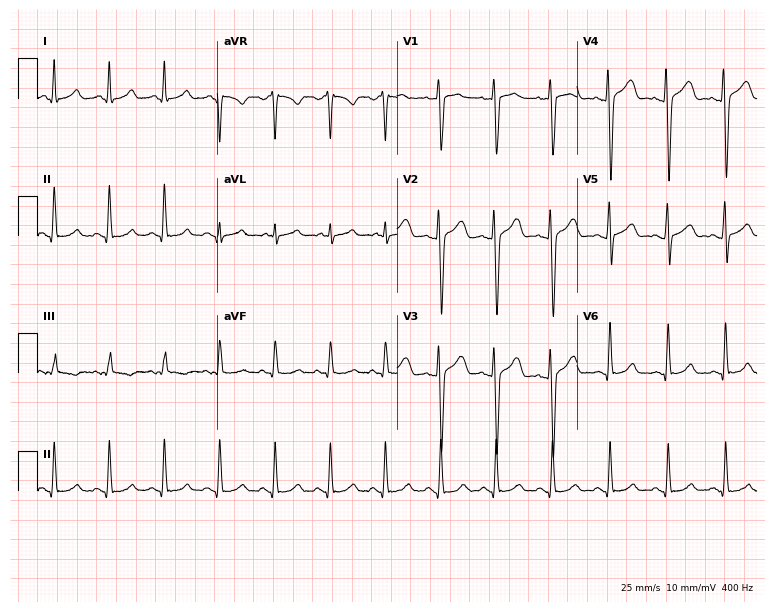
Standard 12-lead ECG recorded from a male patient, 39 years old (7.3-second recording at 400 Hz). The tracing shows sinus tachycardia (a sinus rate of 100 beats per minute or more).